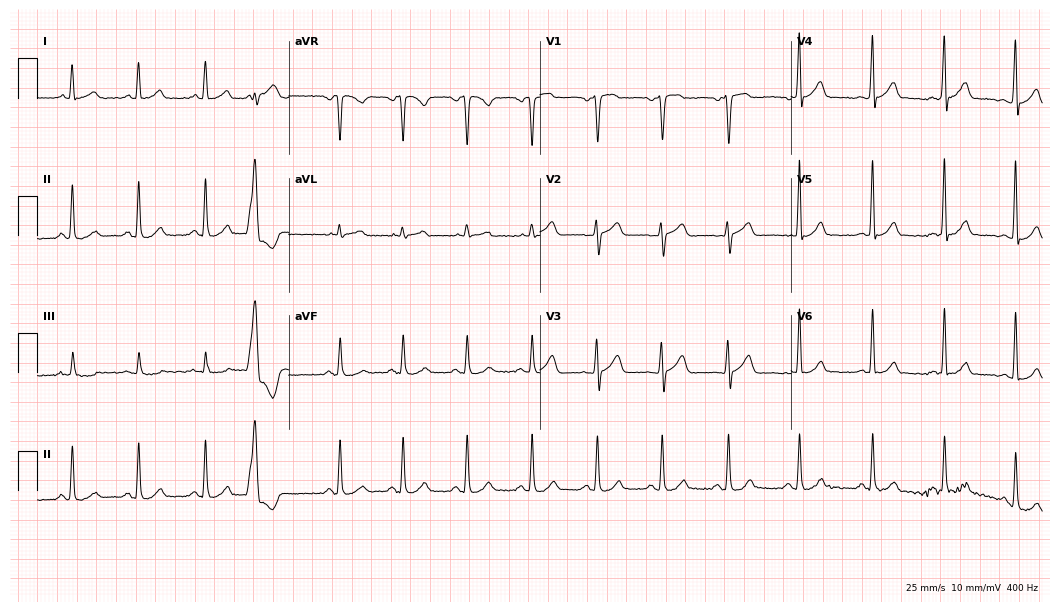
Electrocardiogram, a female, 56 years old. Of the six screened findings (first-degree AV block, right bundle branch block (RBBB), left bundle branch block (LBBB), sinus bradycardia, atrial fibrillation (AF), sinus tachycardia), none is recorded.